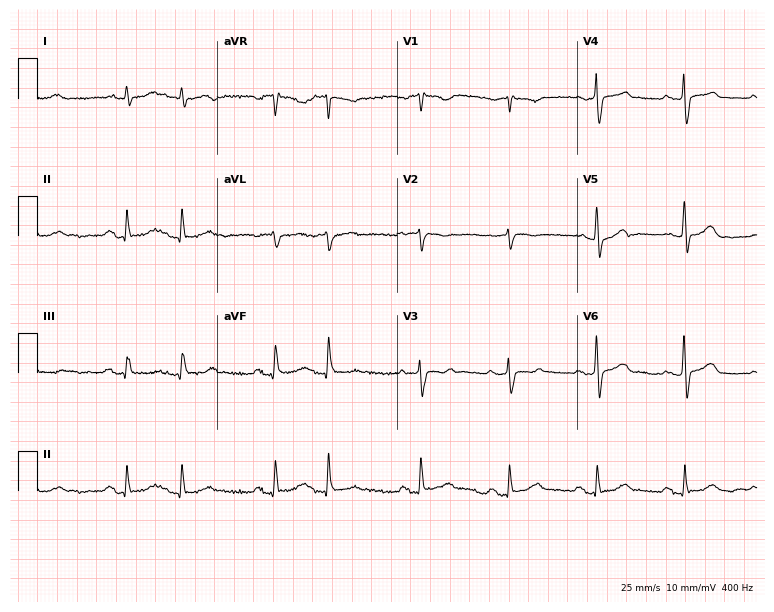
Resting 12-lead electrocardiogram. Patient: a male, 76 years old. None of these six findings is recorded: first-degree AV block, right bundle branch block, left bundle branch block, sinus bradycardia, atrial fibrillation, sinus tachycardia. Findings outside these six are not listed.